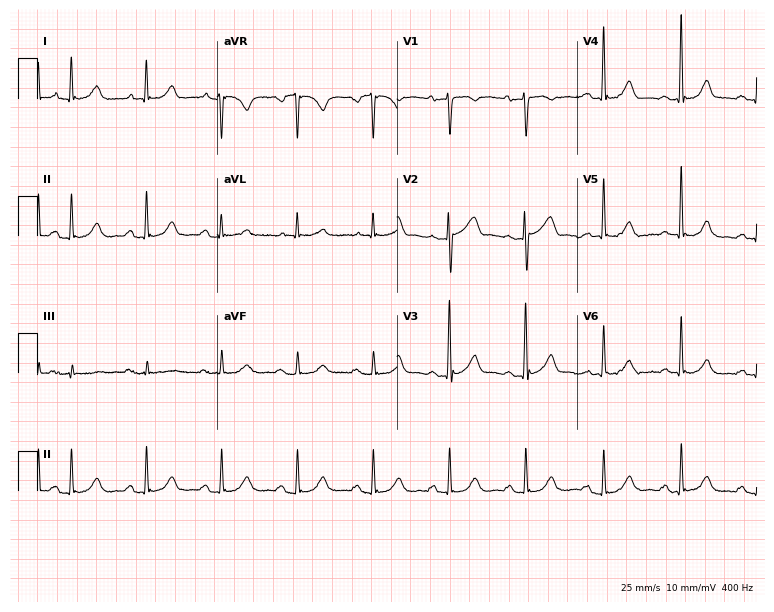
Standard 12-lead ECG recorded from a 67-year-old male (7.3-second recording at 400 Hz). Read as a normal ECG.